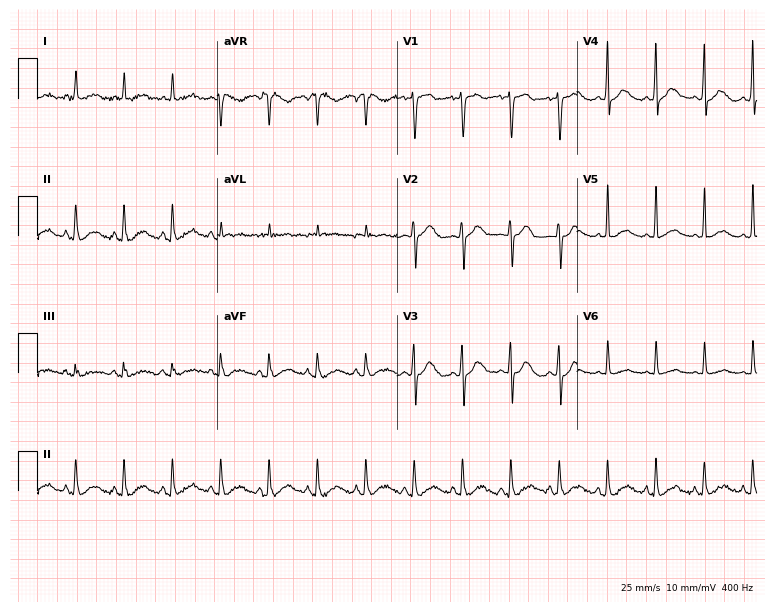
Standard 12-lead ECG recorded from a 64-year-old male patient (7.3-second recording at 400 Hz). The tracing shows sinus tachycardia (a sinus rate of 100 beats per minute or more).